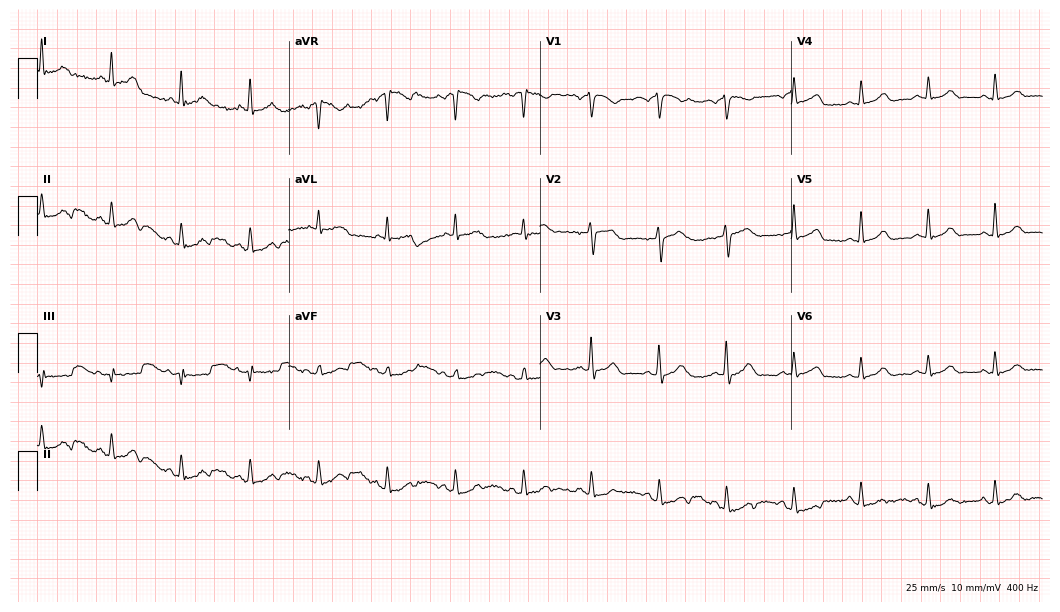
12-lead ECG from a male, 51 years old. Recorded interpretation: within normal limits.